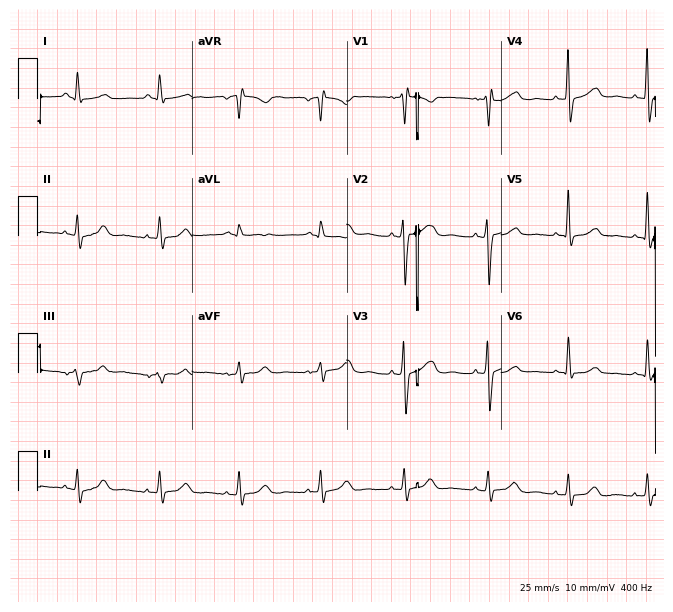
ECG (6.3-second recording at 400 Hz) — a 63-year-old female. Screened for six findings — first-degree AV block, right bundle branch block (RBBB), left bundle branch block (LBBB), sinus bradycardia, atrial fibrillation (AF), sinus tachycardia — none is recorded. Findings outside these six are not listed.